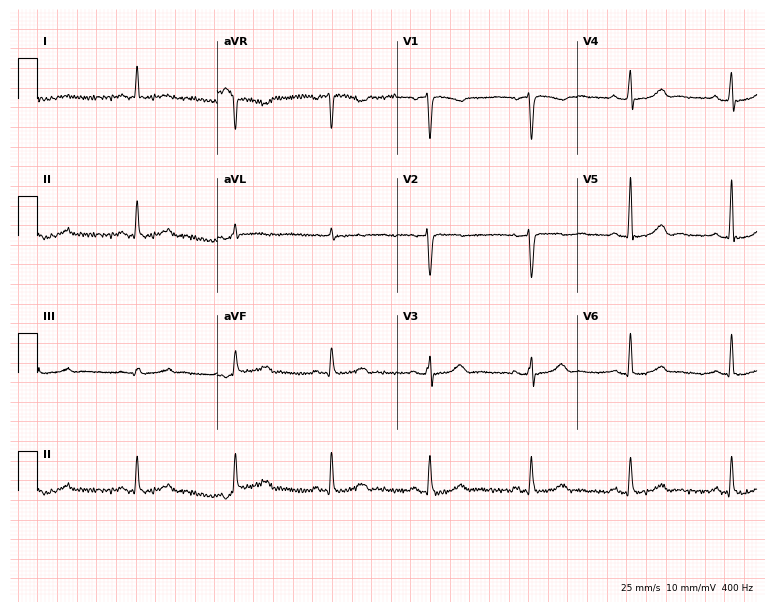
Electrocardiogram, a woman, 48 years old. Of the six screened findings (first-degree AV block, right bundle branch block, left bundle branch block, sinus bradycardia, atrial fibrillation, sinus tachycardia), none is recorded. Findings outside these six are not listed.